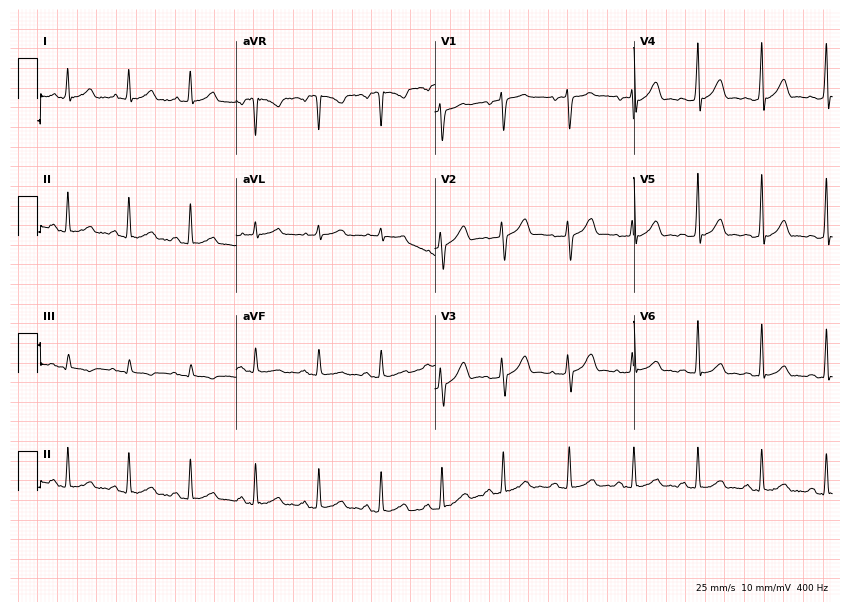
Electrocardiogram, a woman, 44 years old. Of the six screened findings (first-degree AV block, right bundle branch block, left bundle branch block, sinus bradycardia, atrial fibrillation, sinus tachycardia), none is recorded.